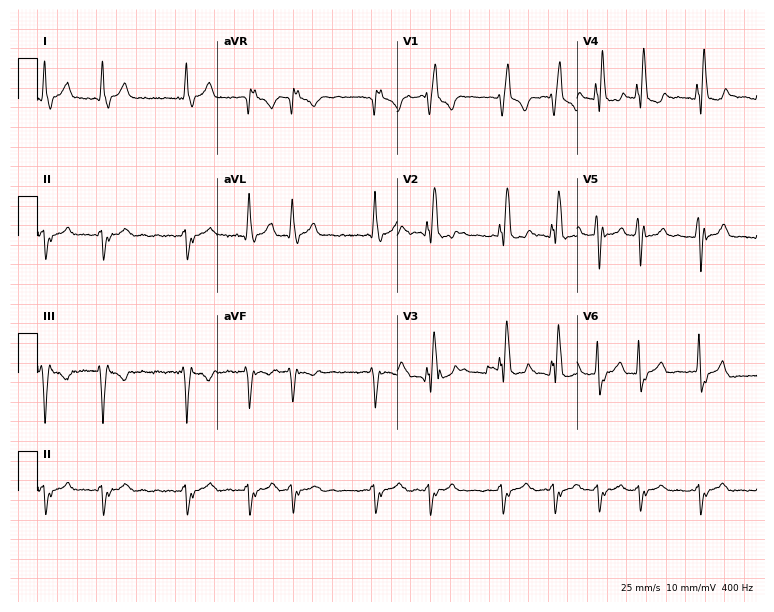
Resting 12-lead electrocardiogram. Patient: a man, 63 years old. The tracing shows right bundle branch block, atrial fibrillation.